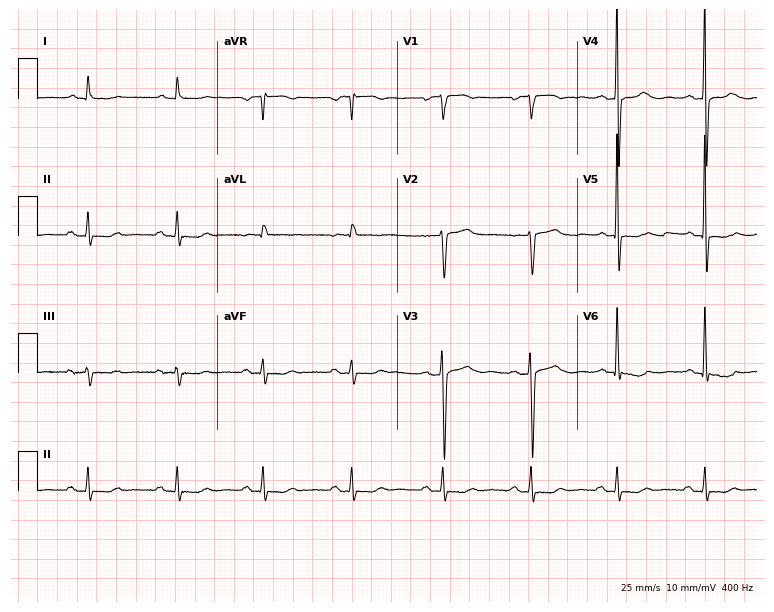
12-lead ECG from a 49-year-old woman. Screened for six findings — first-degree AV block, right bundle branch block (RBBB), left bundle branch block (LBBB), sinus bradycardia, atrial fibrillation (AF), sinus tachycardia — none is recorded.